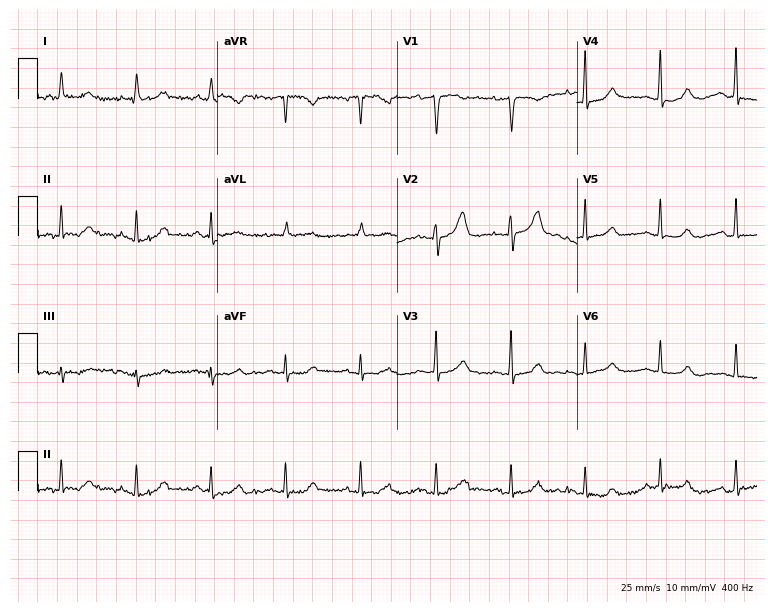
12-lead ECG from a female, 78 years old (7.3-second recording at 400 Hz). Recorded interpretation: within normal limits.